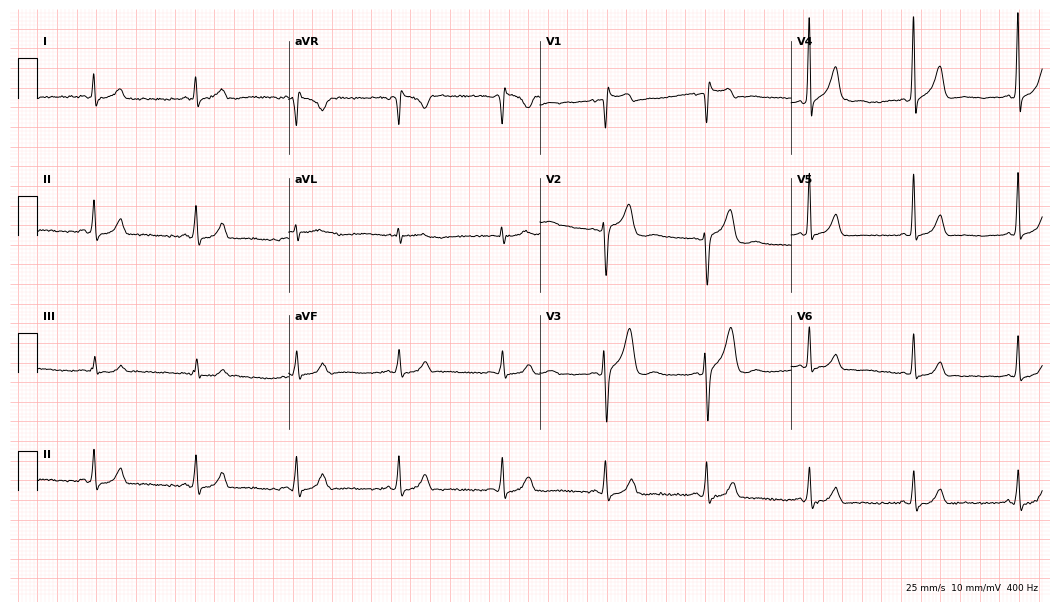
12-lead ECG from a male patient, 53 years old. Labelled as a normal ECG.